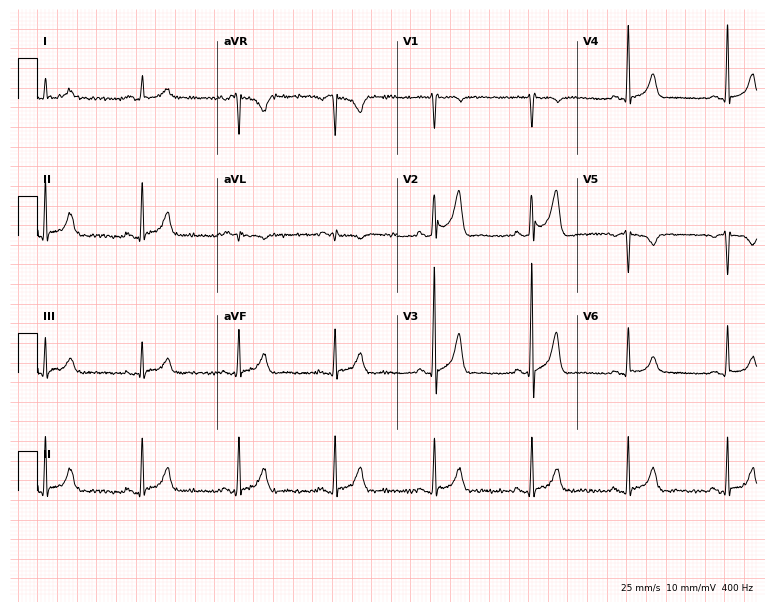
Standard 12-lead ECG recorded from a 55-year-old male. None of these six findings is recorded: first-degree AV block, right bundle branch block, left bundle branch block, sinus bradycardia, atrial fibrillation, sinus tachycardia. Only these six findings were labelled.